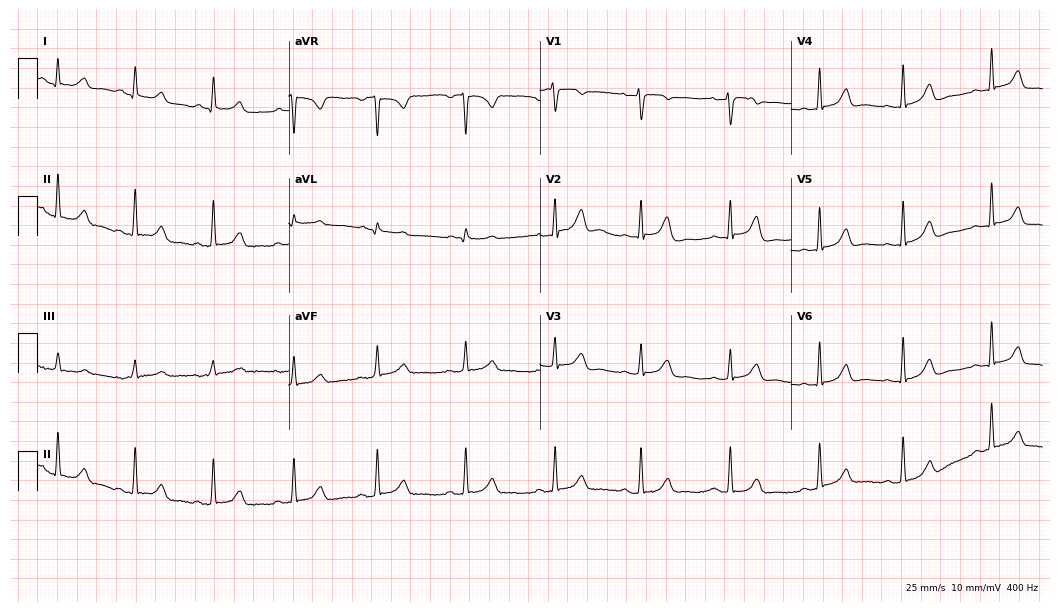
Standard 12-lead ECG recorded from a 35-year-old woman. Read as a normal ECG.